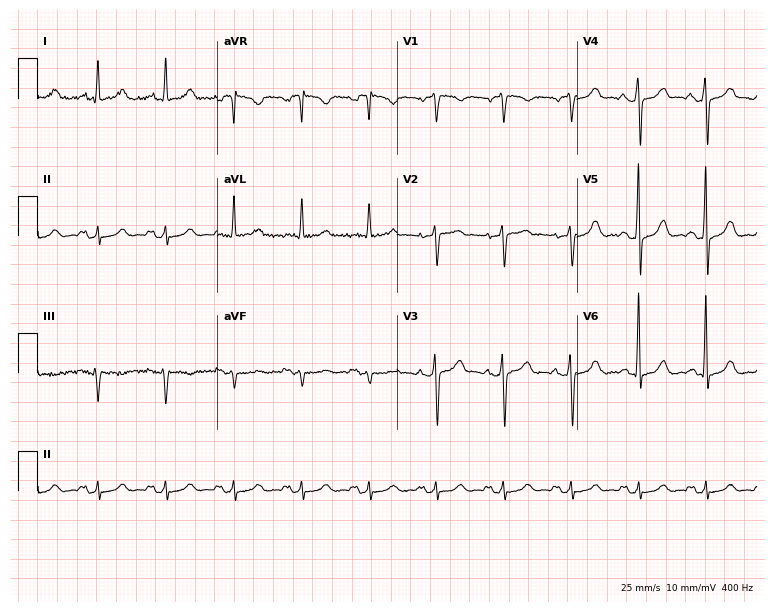
Standard 12-lead ECG recorded from a male patient, 71 years old (7.3-second recording at 400 Hz). Read as a normal ECG.